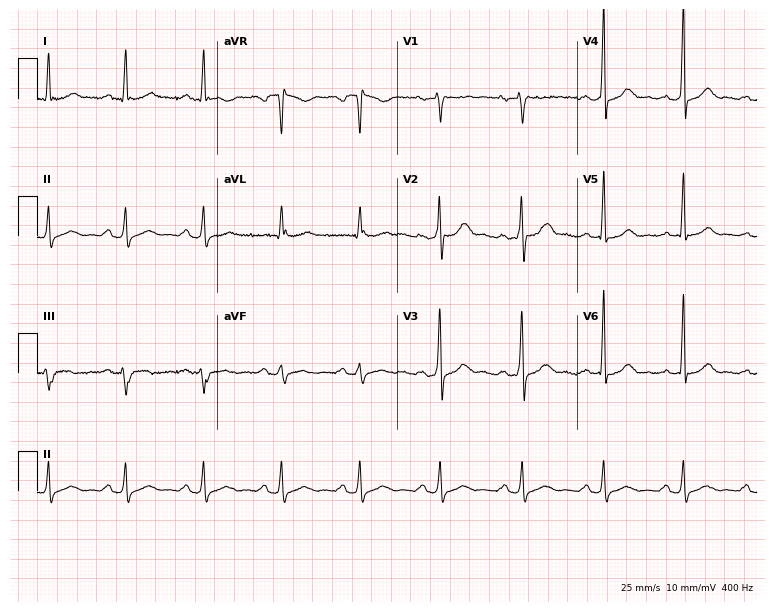
12-lead ECG (7.3-second recording at 400 Hz) from a 43-year-old male. Screened for six findings — first-degree AV block, right bundle branch block, left bundle branch block, sinus bradycardia, atrial fibrillation, sinus tachycardia — none is recorded.